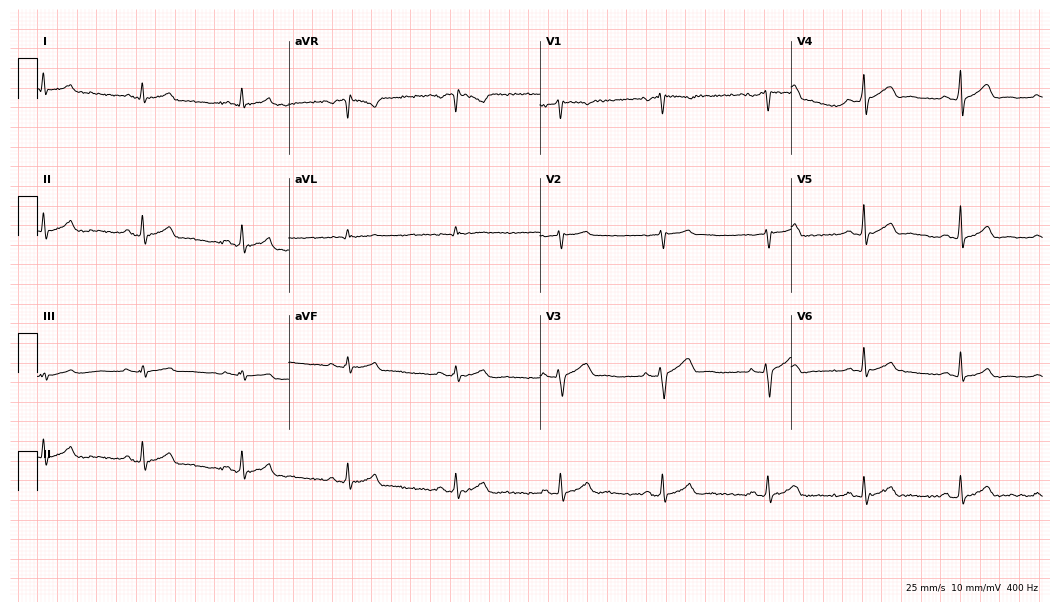
ECG (10.2-second recording at 400 Hz) — a 39-year-old man. Labelled as a normal ECG.